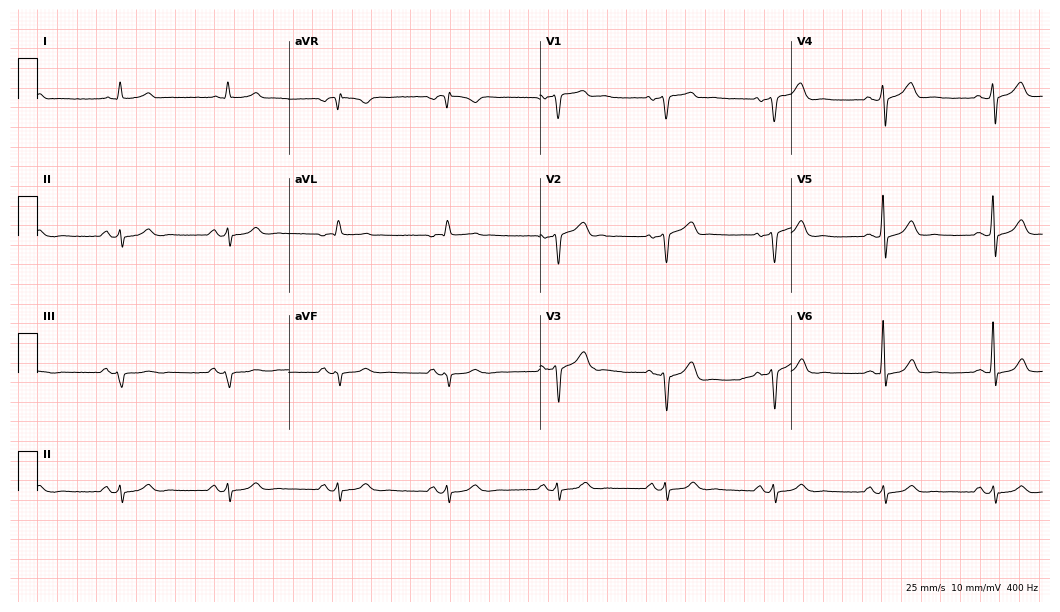
ECG (10.2-second recording at 400 Hz) — a man, 75 years old. Screened for six findings — first-degree AV block, right bundle branch block, left bundle branch block, sinus bradycardia, atrial fibrillation, sinus tachycardia — none is recorded. Findings outside these six are not listed.